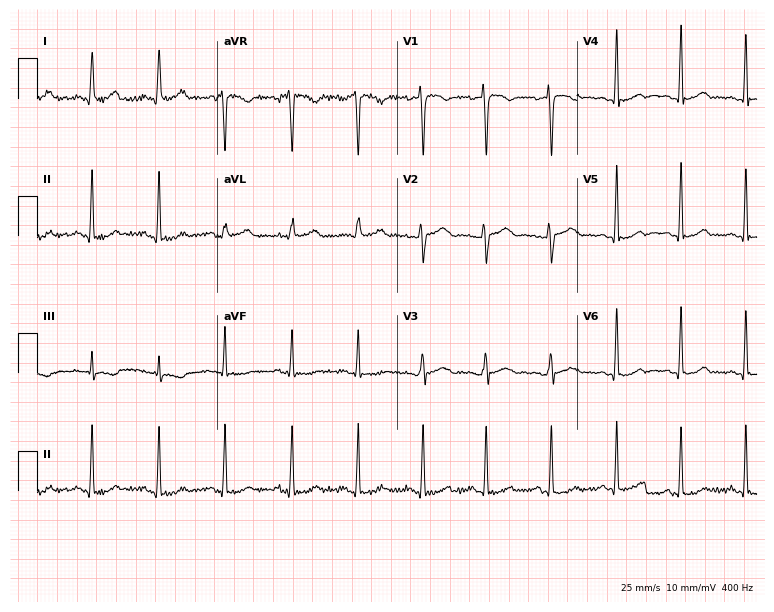
12-lead ECG from a female patient, 37 years old. Labelled as a normal ECG.